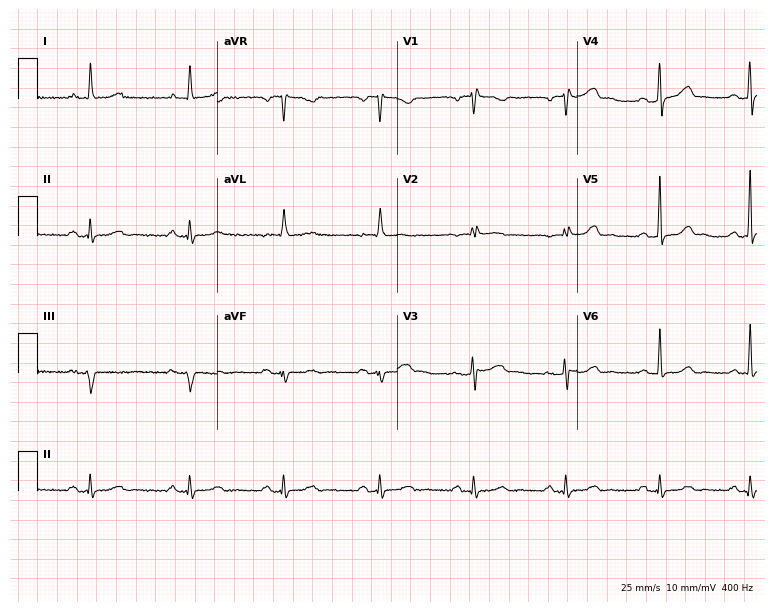
ECG (7.3-second recording at 400 Hz) — a female, 51 years old. Labelled as a normal ECG.